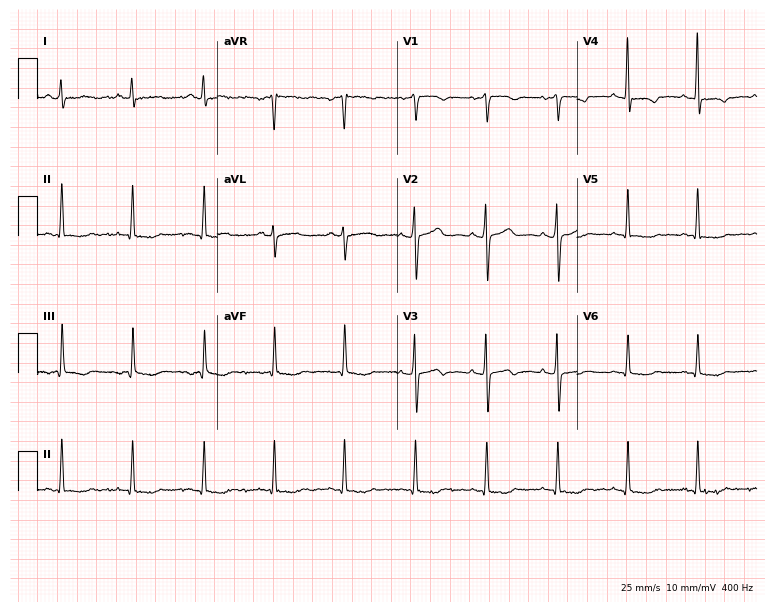
12-lead ECG from a 65-year-old female. Screened for six findings — first-degree AV block, right bundle branch block, left bundle branch block, sinus bradycardia, atrial fibrillation, sinus tachycardia — none is recorded.